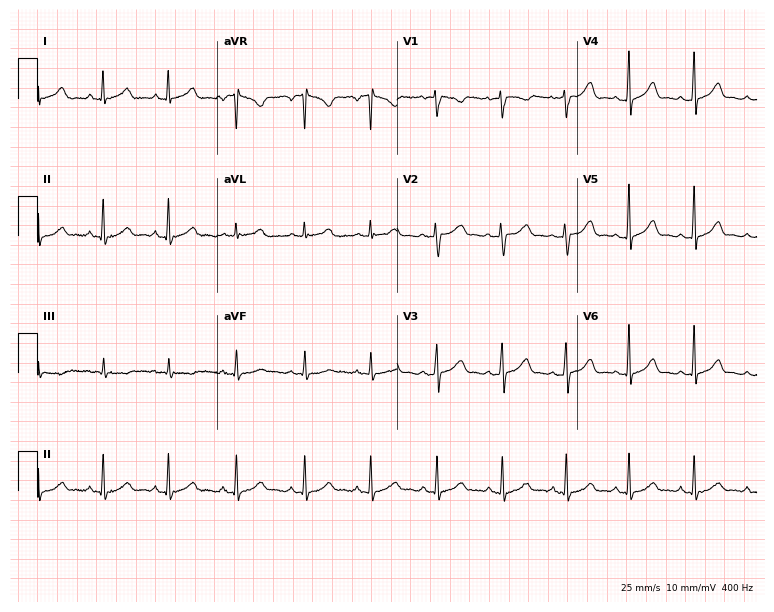
12-lead ECG from a female, 24 years old. Labelled as a normal ECG.